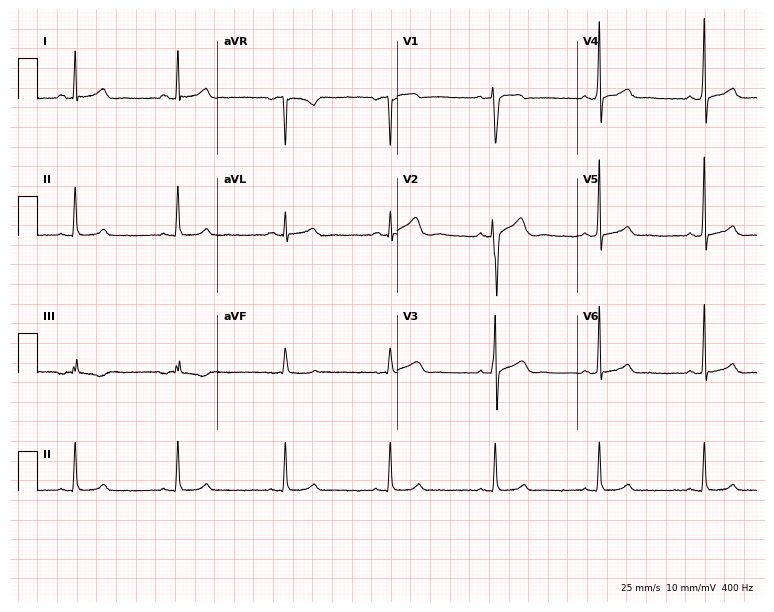
12-lead ECG from a man, 28 years old. Labelled as a normal ECG.